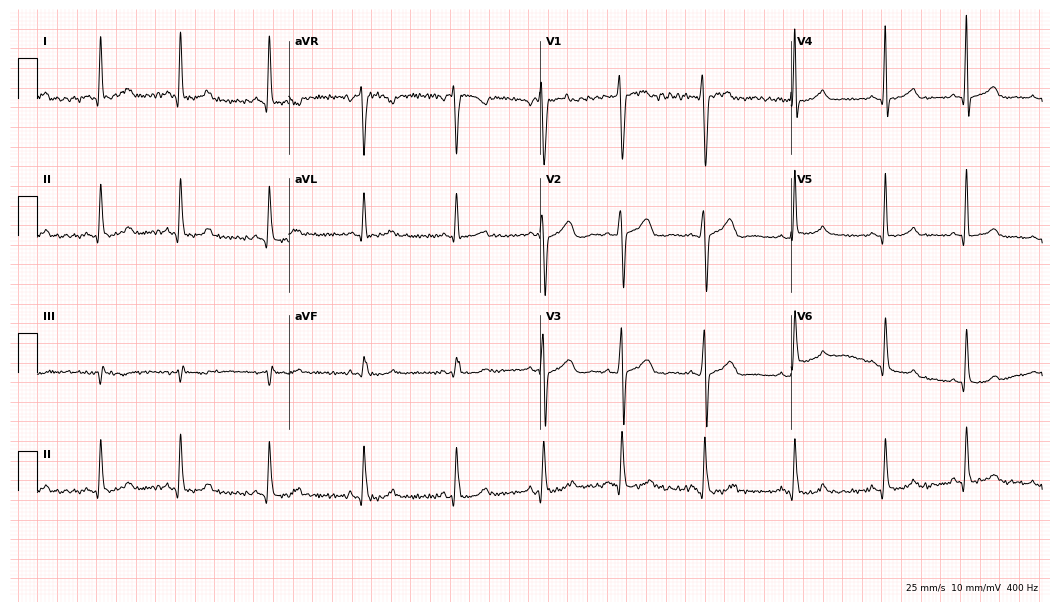
12-lead ECG (10.2-second recording at 400 Hz) from a woman, 27 years old. Screened for six findings — first-degree AV block, right bundle branch block, left bundle branch block, sinus bradycardia, atrial fibrillation, sinus tachycardia — none is recorded. Other findings, if any, are not listed.